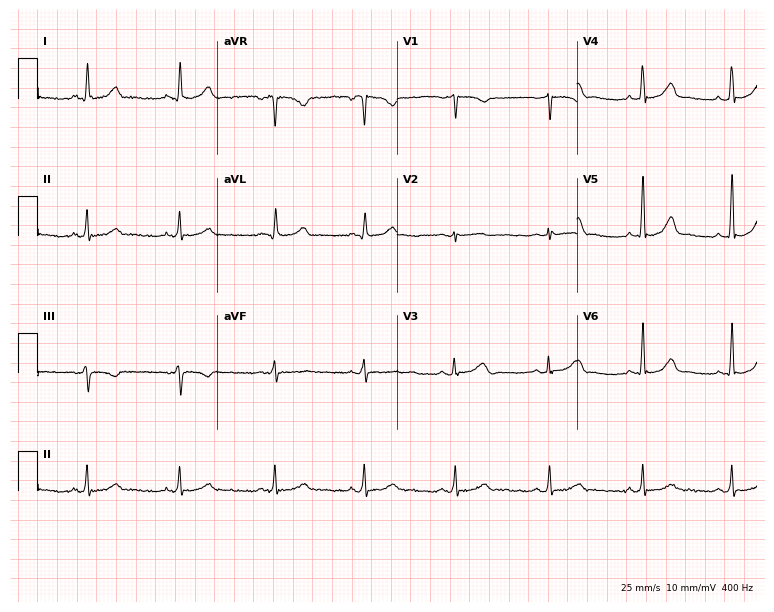
12-lead ECG from a 52-year-old female patient (7.3-second recording at 400 Hz). Recorded interpretation: within normal limits.